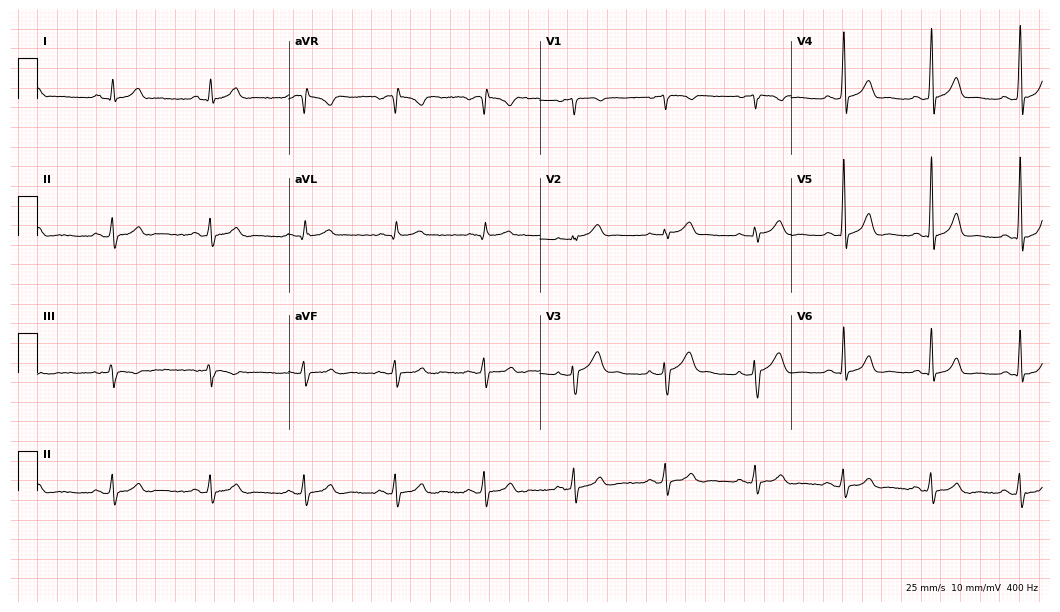
Electrocardiogram (10.2-second recording at 400 Hz), a male, 39 years old. Overall reading on record: normal ECG.